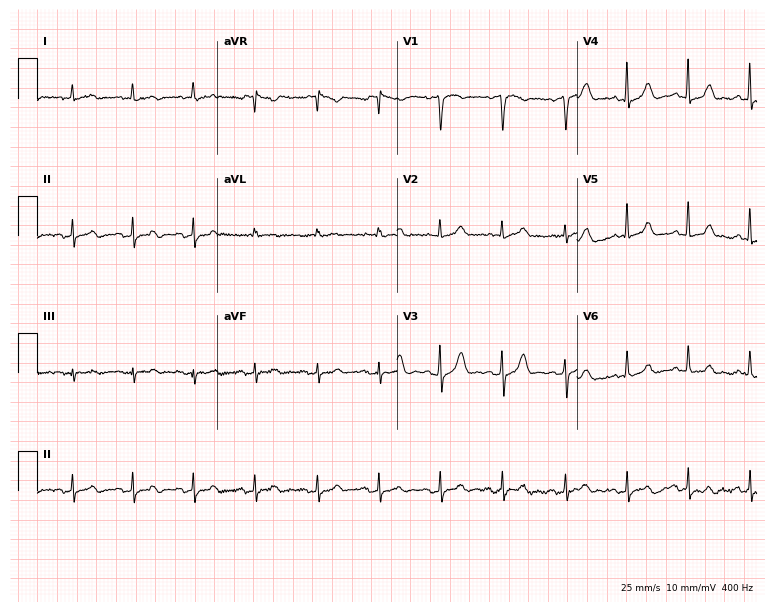
Resting 12-lead electrocardiogram. Patient: a female, 73 years old. None of these six findings is recorded: first-degree AV block, right bundle branch block (RBBB), left bundle branch block (LBBB), sinus bradycardia, atrial fibrillation (AF), sinus tachycardia.